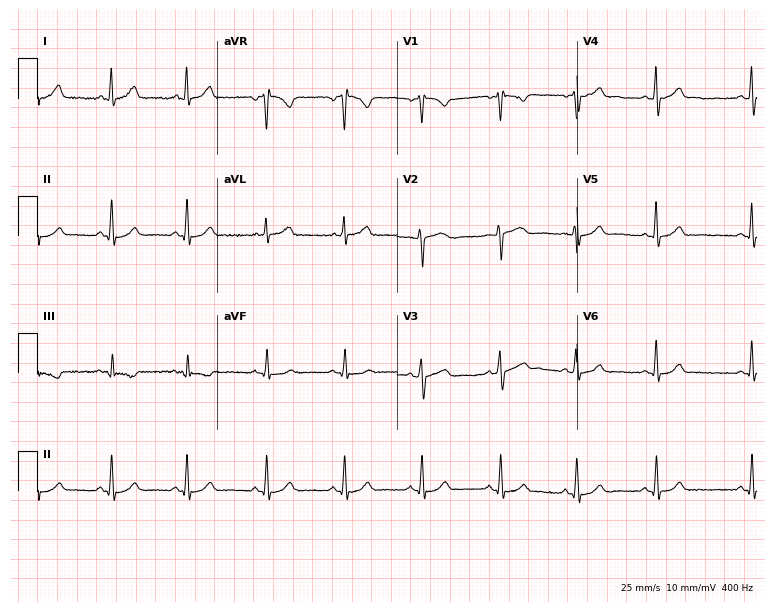
Standard 12-lead ECG recorded from a female, 37 years old (7.3-second recording at 400 Hz). None of these six findings is recorded: first-degree AV block, right bundle branch block, left bundle branch block, sinus bradycardia, atrial fibrillation, sinus tachycardia. Other findings, if any, are not listed.